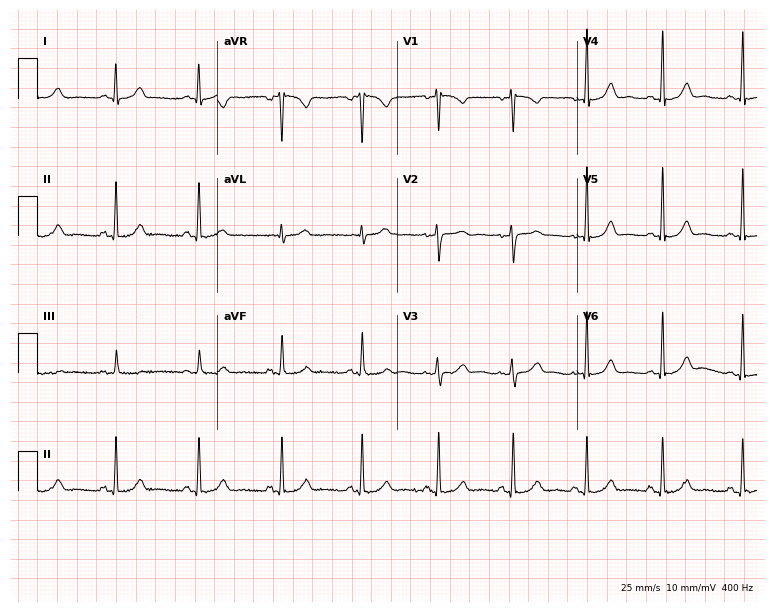
Electrocardiogram, a 34-year-old female. Of the six screened findings (first-degree AV block, right bundle branch block, left bundle branch block, sinus bradycardia, atrial fibrillation, sinus tachycardia), none is recorded.